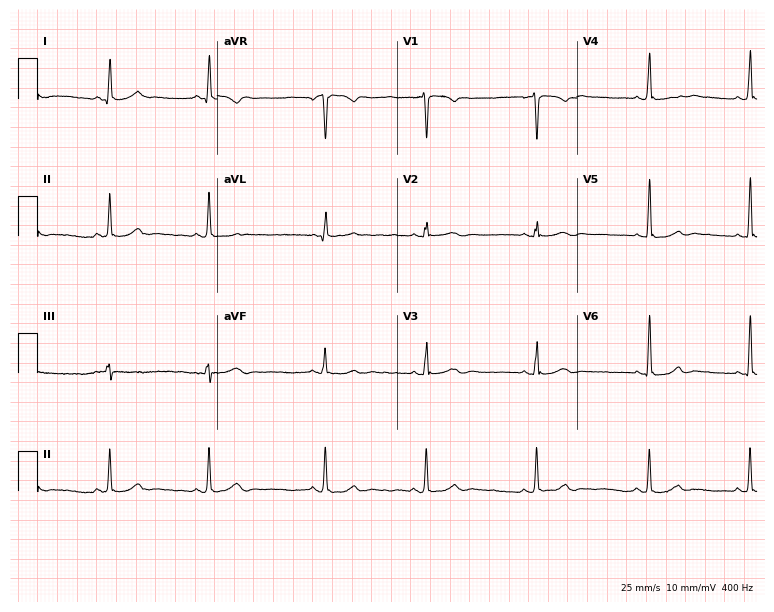
12-lead ECG from a 32-year-old female patient. Recorded interpretation: within normal limits.